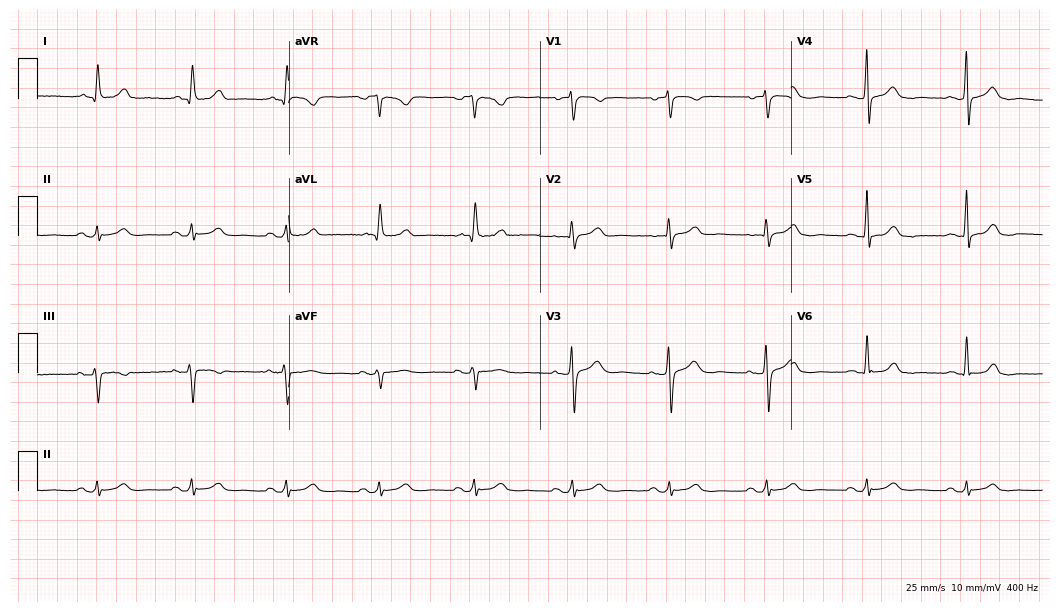
12-lead ECG from a woman, 56 years old. Recorded interpretation: within normal limits.